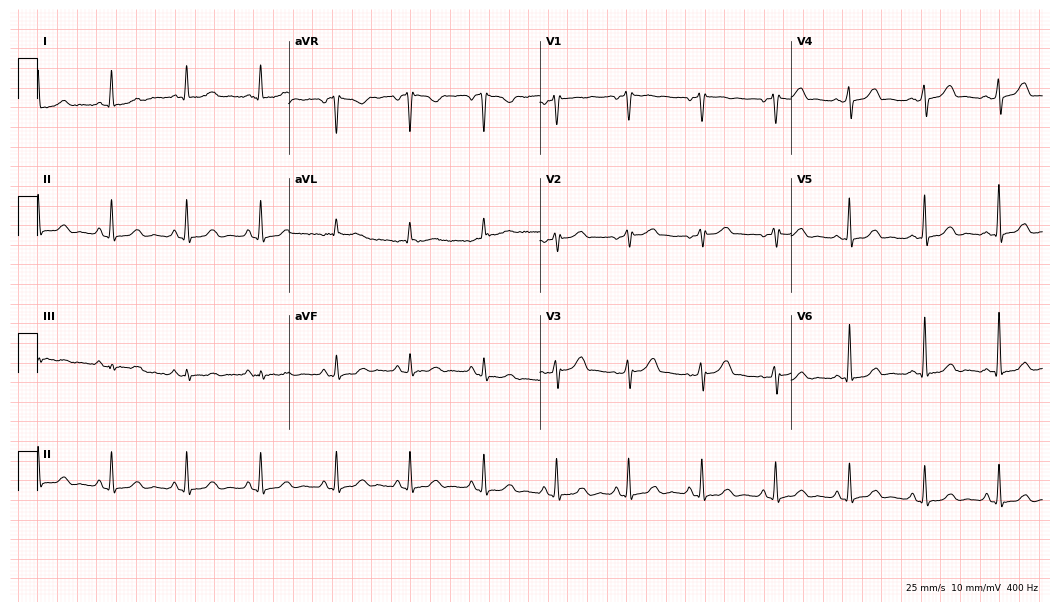
Resting 12-lead electrocardiogram (10.2-second recording at 400 Hz). Patient: a 57-year-old female. None of these six findings is recorded: first-degree AV block, right bundle branch block, left bundle branch block, sinus bradycardia, atrial fibrillation, sinus tachycardia. Findings outside these six are not listed.